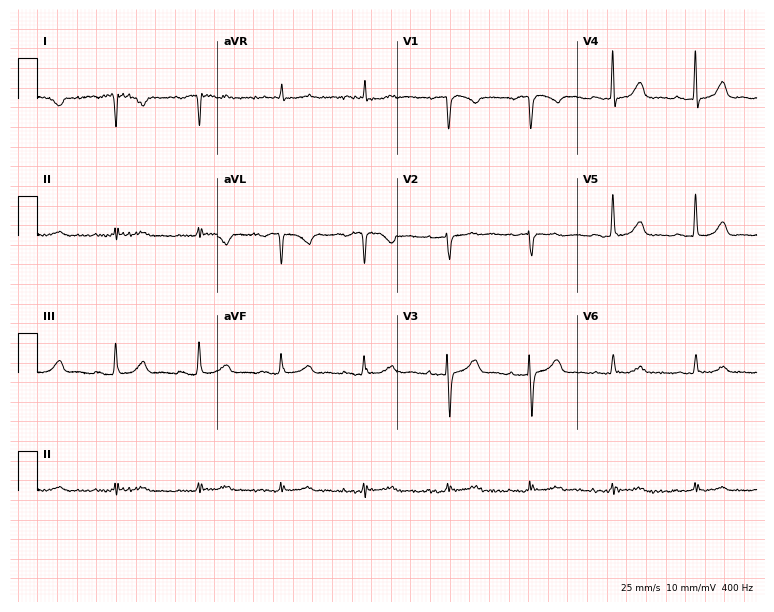
12-lead ECG (7.3-second recording at 400 Hz) from a 77-year-old female. Screened for six findings — first-degree AV block, right bundle branch block, left bundle branch block, sinus bradycardia, atrial fibrillation, sinus tachycardia — none is recorded.